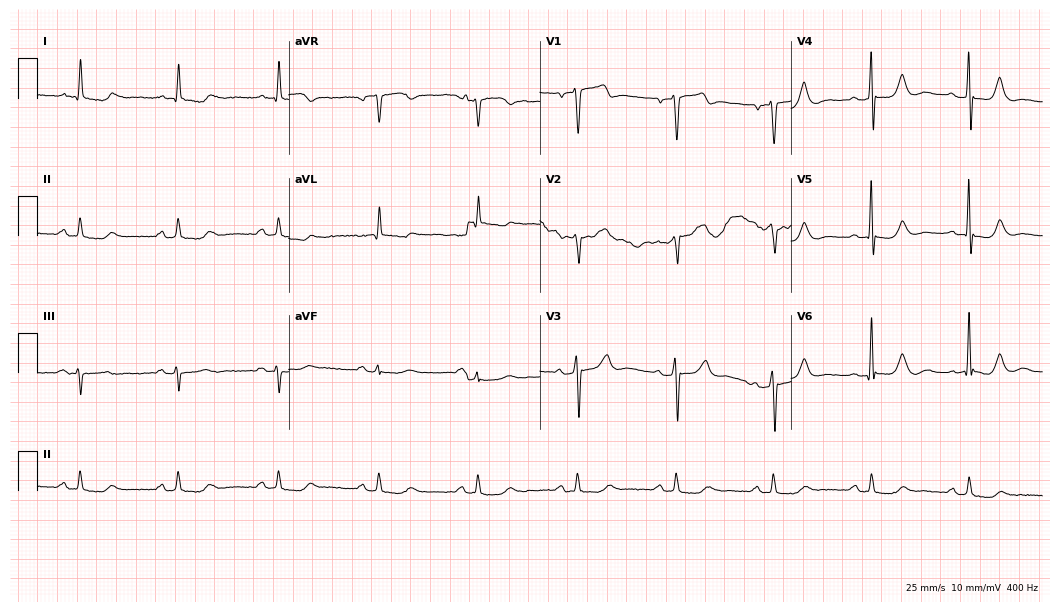
Electrocardiogram, a 72-year-old male. Overall reading on record: normal ECG.